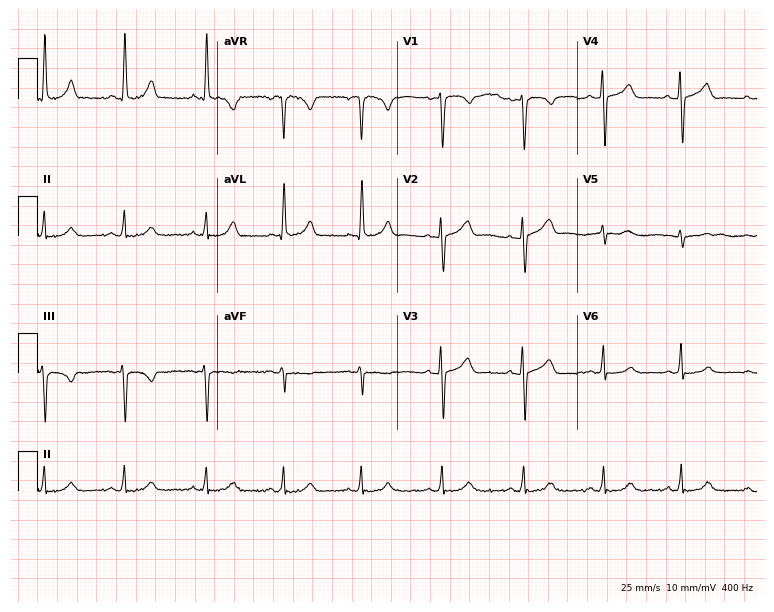
12-lead ECG from a woman, 54 years old. Recorded interpretation: within normal limits.